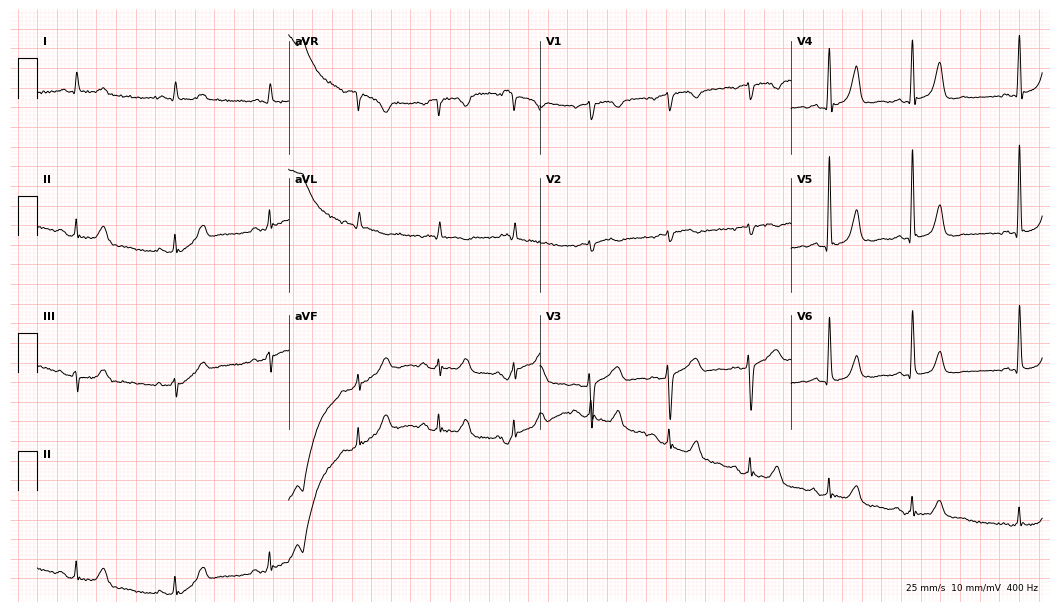
12-lead ECG from a 71-year-old female (10.2-second recording at 400 Hz). Recorded interpretation: within normal limits.